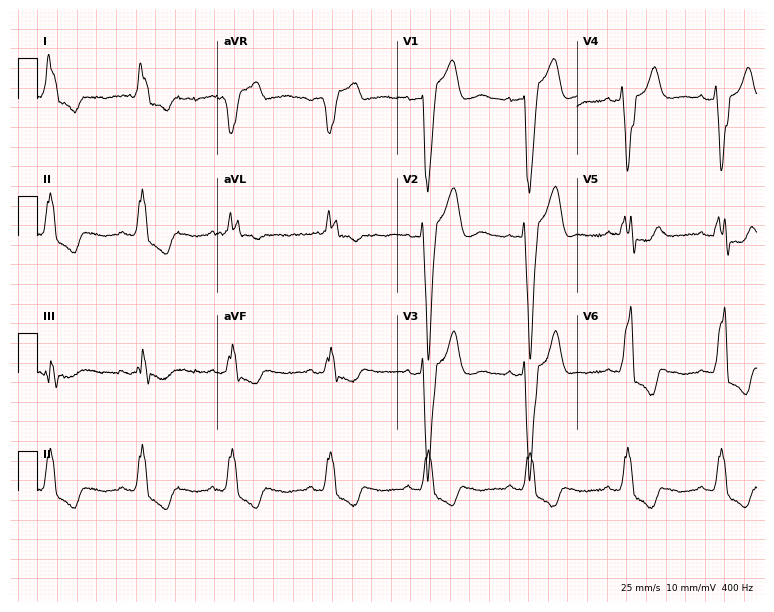
Standard 12-lead ECG recorded from a woman, 80 years old. The tracing shows left bundle branch block.